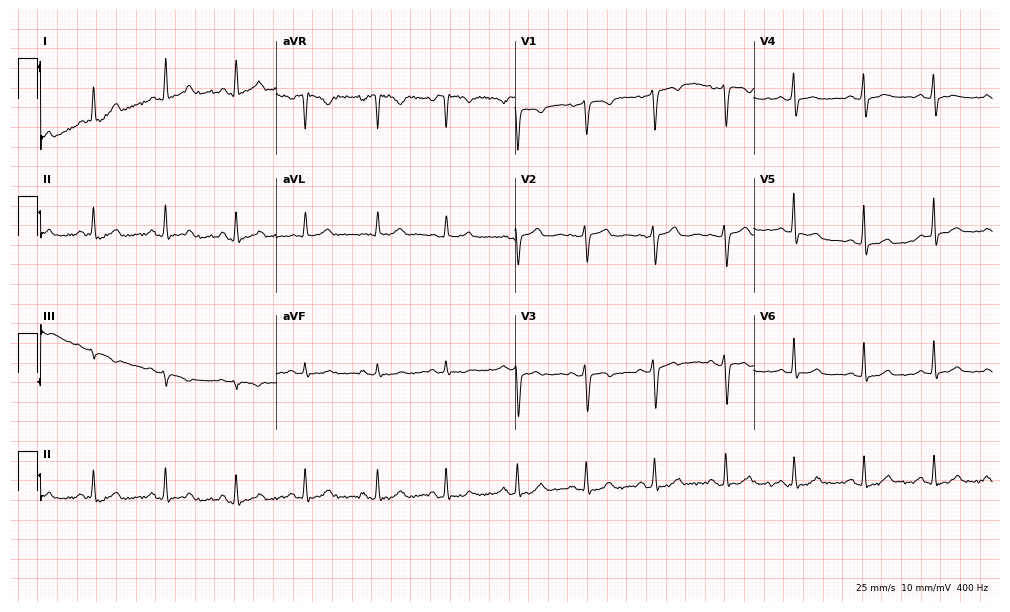
Standard 12-lead ECG recorded from a 31-year-old female (9.7-second recording at 400 Hz). Read as a normal ECG.